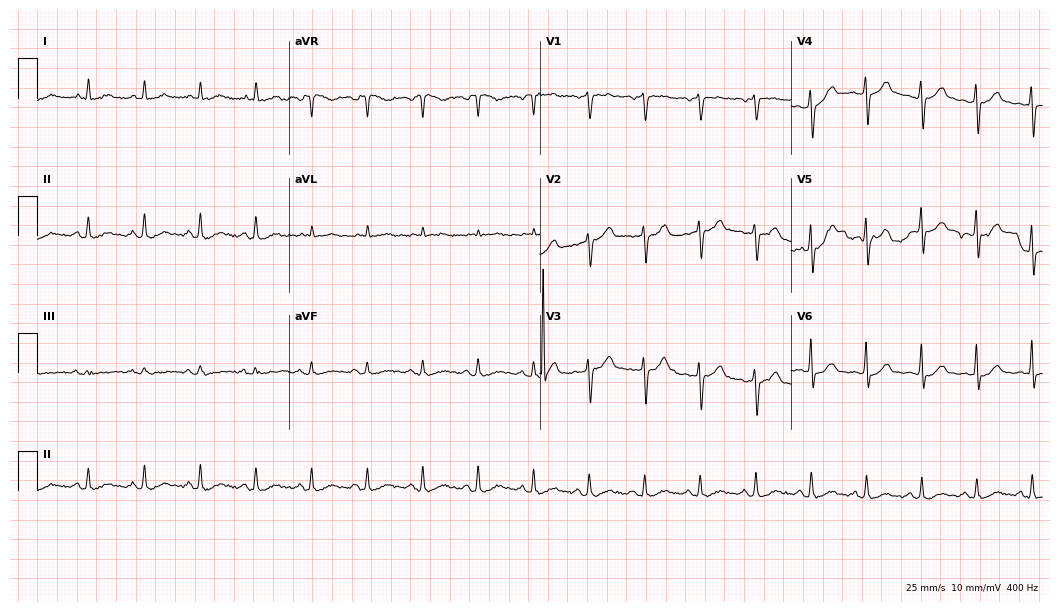
12-lead ECG from a 78-year-old man (10.2-second recording at 400 Hz). Shows sinus tachycardia (a sinus rate of 100 beats per minute or more).